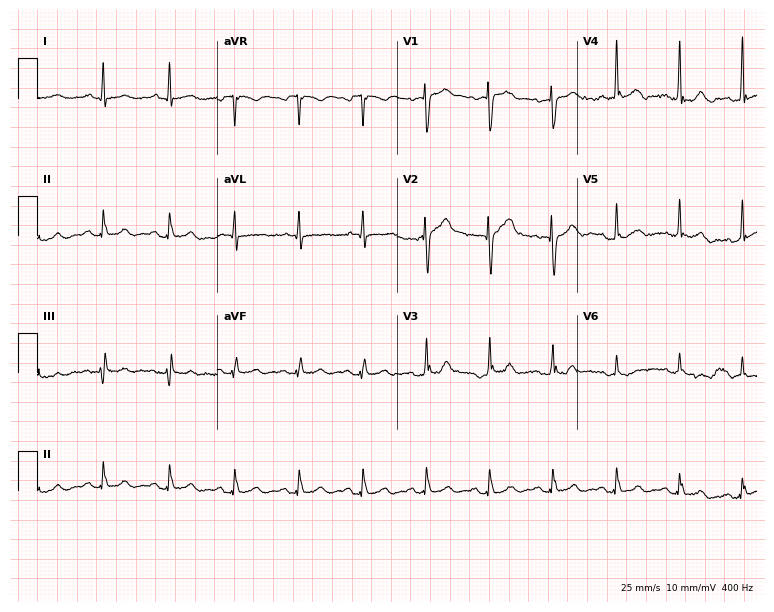
12-lead ECG (7.3-second recording at 400 Hz) from a 62-year-old male patient. Screened for six findings — first-degree AV block, right bundle branch block, left bundle branch block, sinus bradycardia, atrial fibrillation, sinus tachycardia — none is recorded. Other findings, if any, are not listed.